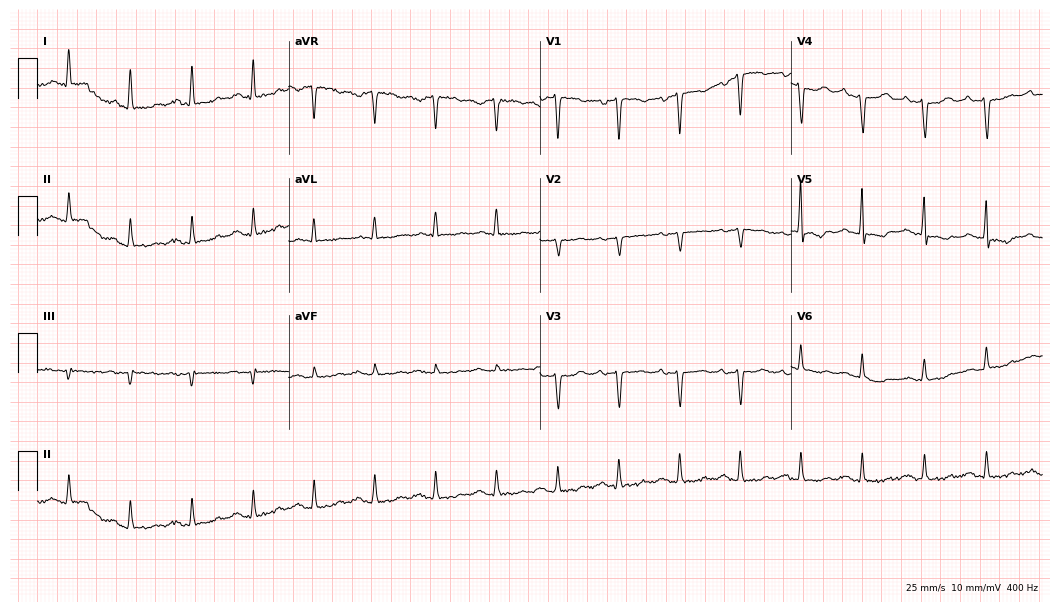
Standard 12-lead ECG recorded from a 70-year-old woman. None of these six findings is recorded: first-degree AV block, right bundle branch block, left bundle branch block, sinus bradycardia, atrial fibrillation, sinus tachycardia. Only these six findings were labelled.